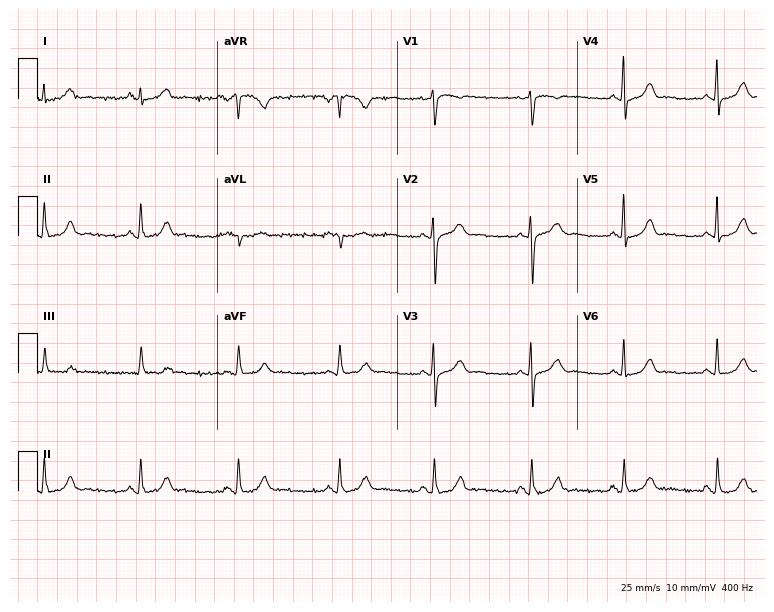
Resting 12-lead electrocardiogram. Patient: a woman, 38 years old. Read as a normal ECG.